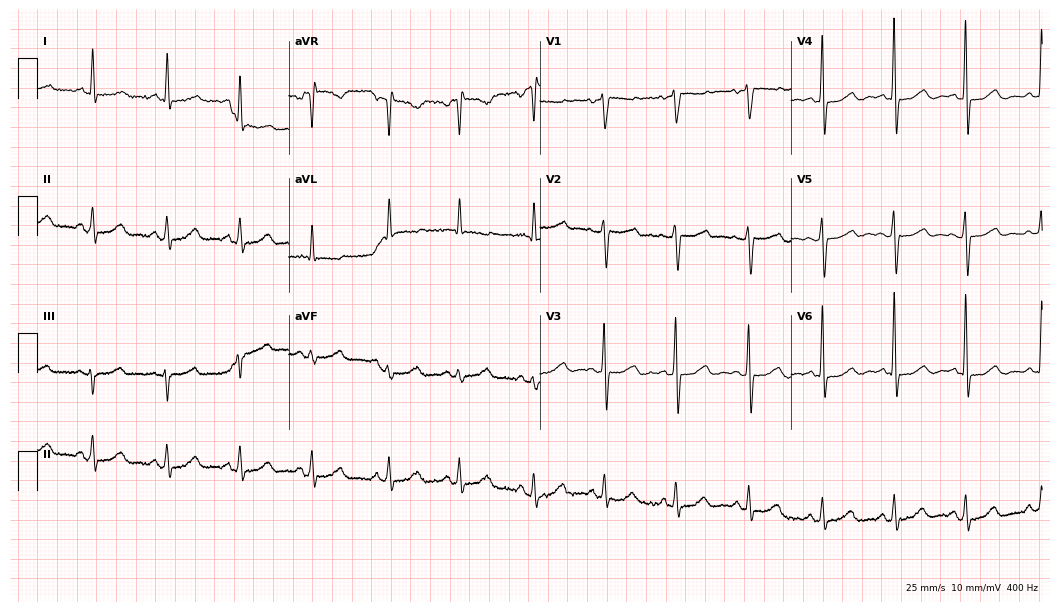
ECG — a 56-year-old female patient. Labelled as a normal ECG.